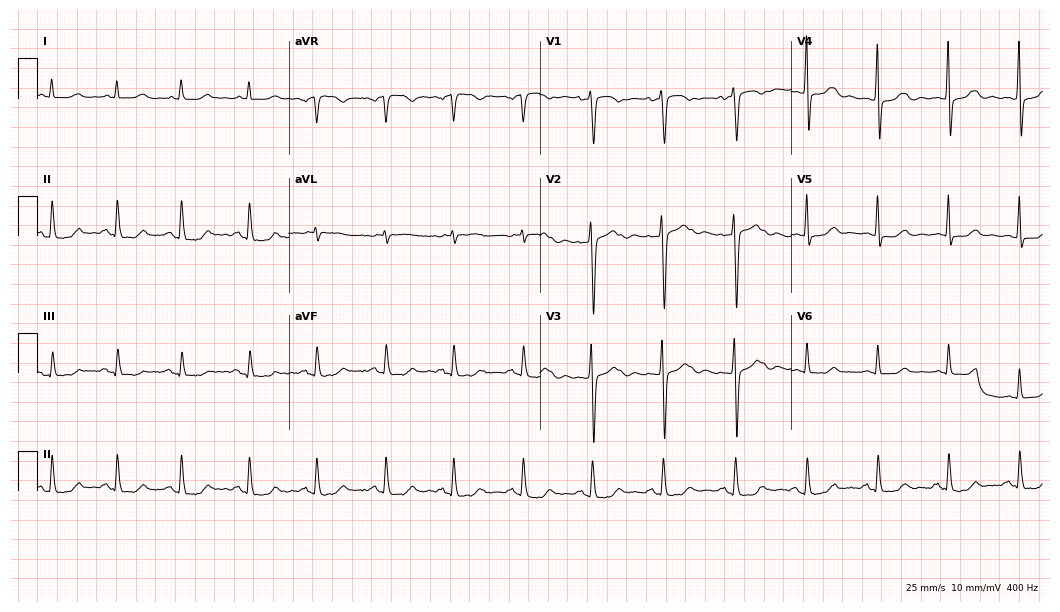
Standard 12-lead ECG recorded from a female patient, 41 years old (10.2-second recording at 400 Hz). None of these six findings is recorded: first-degree AV block, right bundle branch block (RBBB), left bundle branch block (LBBB), sinus bradycardia, atrial fibrillation (AF), sinus tachycardia.